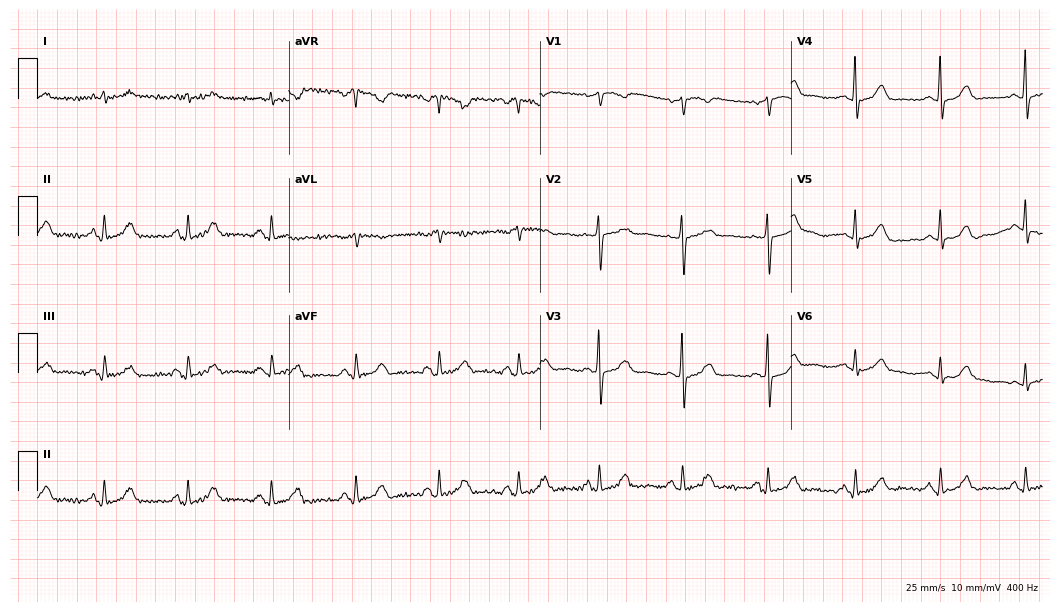
Standard 12-lead ECG recorded from a female patient, 60 years old. Read as a normal ECG.